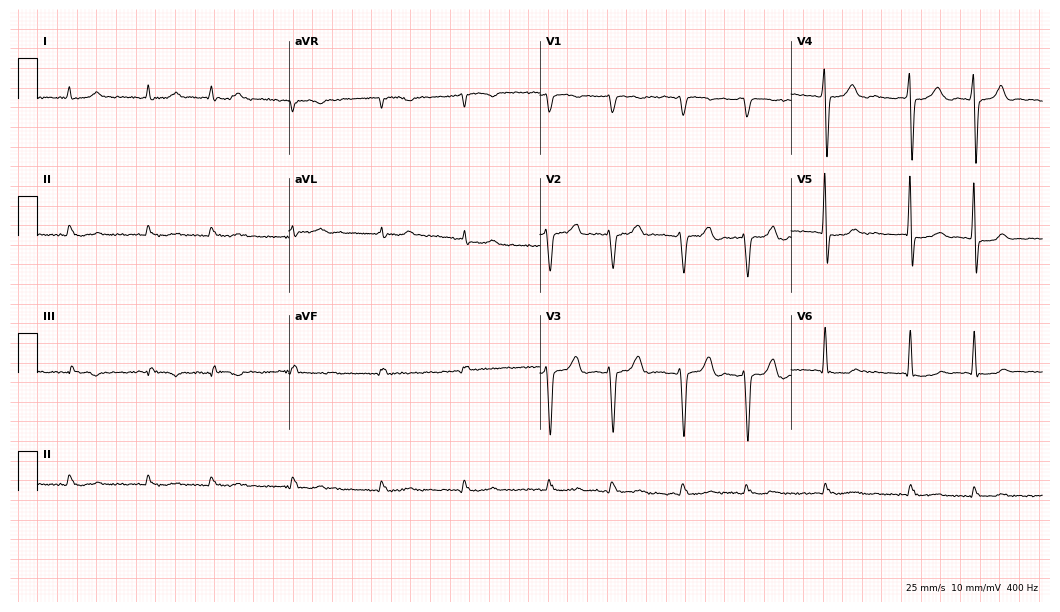
12-lead ECG from a 73-year-old man. Shows atrial fibrillation.